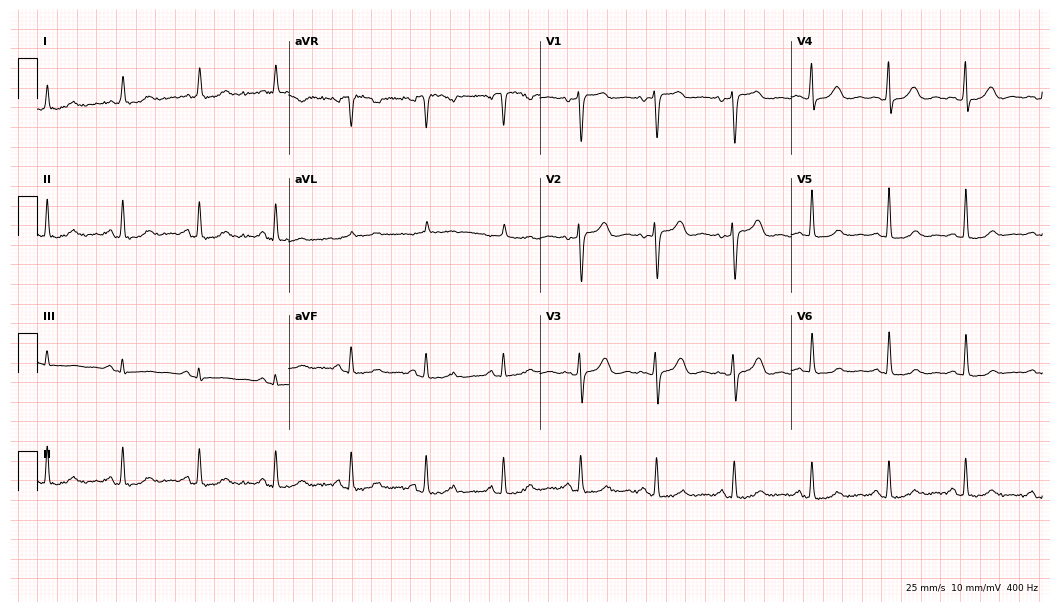
Electrocardiogram (10.2-second recording at 400 Hz), a female, 64 years old. Of the six screened findings (first-degree AV block, right bundle branch block, left bundle branch block, sinus bradycardia, atrial fibrillation, sinus tachycardia), none is recorded. Only these six findings were labelled.